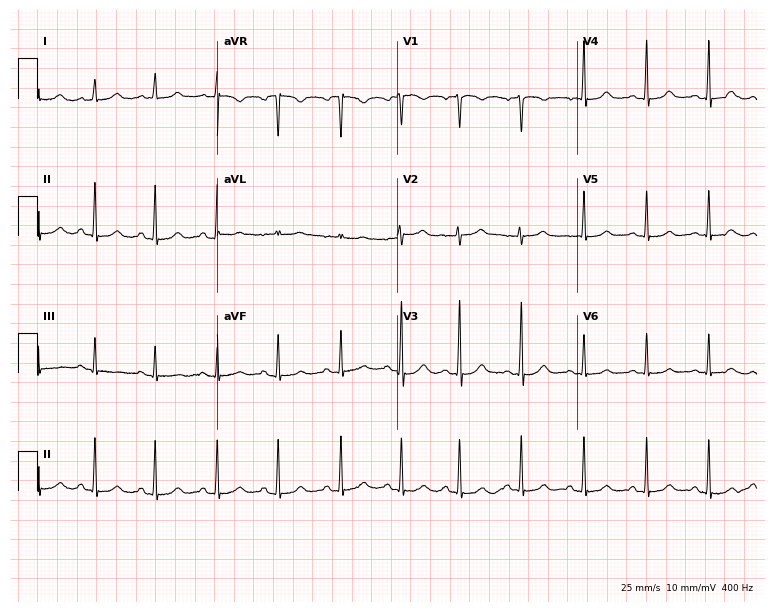
Resting 12-lead electrocardiogram. Patient: a 19-year-old female. Read as a normal ECG.